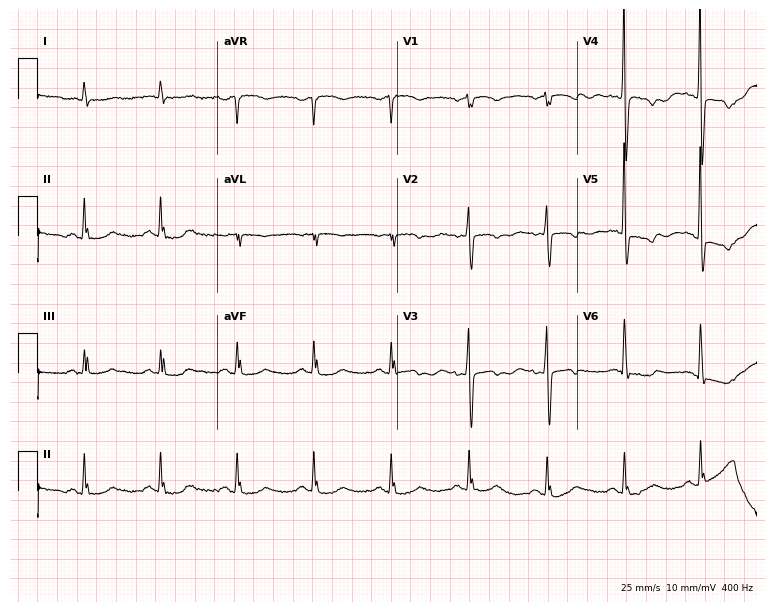
Electrocardiogram, a female, 80 years old. Of the six screened findings (first-degree AV block, right bundle branch block (RBBB), left bundle branch block (LBBB), sinus bradycardia, atrial fibrillation (AF), sinus tachycardia), none is recorded.